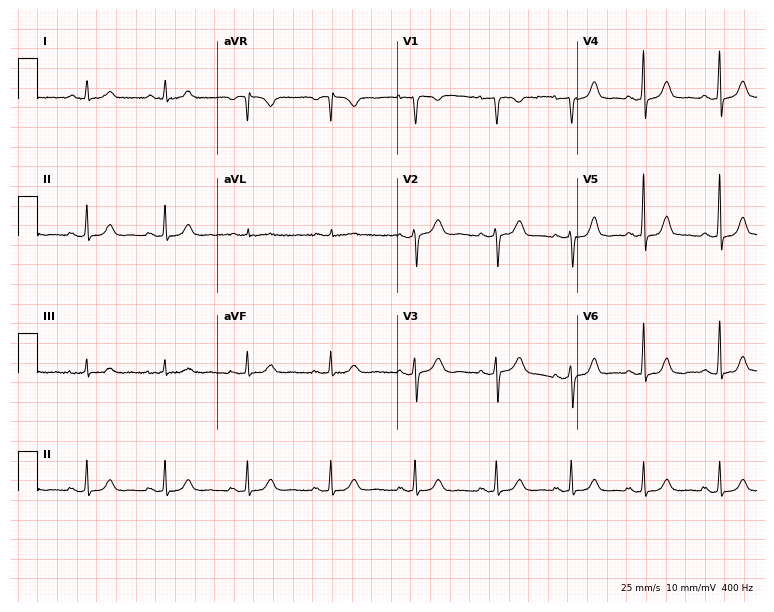
Resting 12-lead electrocardiogram (7.3-second recording at 400 Hz). Patient: a woman, 38 years old. None of these six findings is recorded: first-degree AV block, right bundle branch block (RBBB), left bundle branch block (LBBB), sinus bradycardia, atrial fibrillation (AF), sinus tachycardia. Only these six findings were labelled.